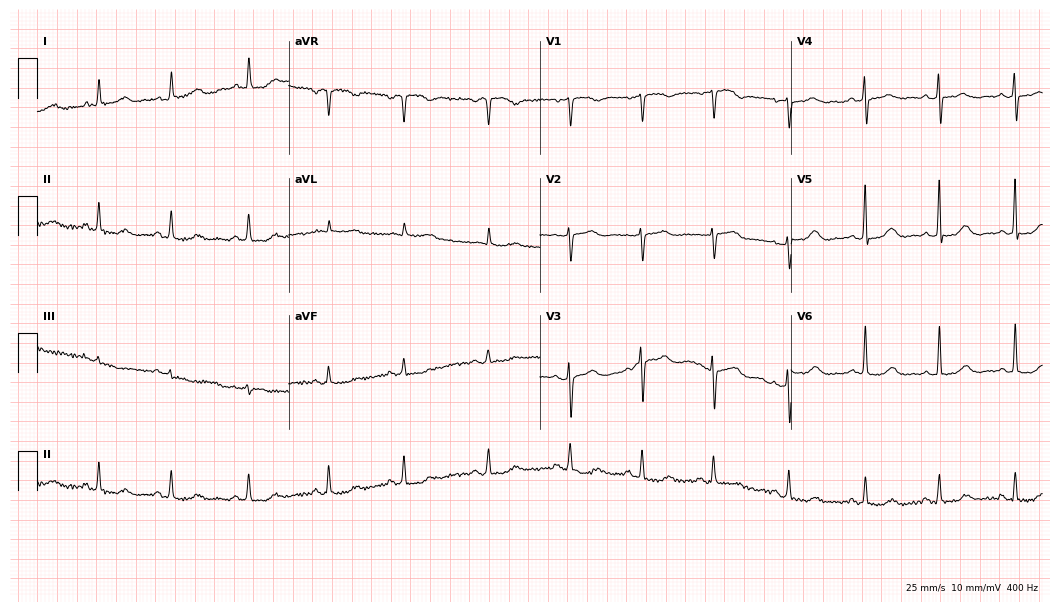
Standard 12-lead ECG recorded from a female patient, 76 years old (10.2-second recording at 400 Hz). Read as a normal ECG.